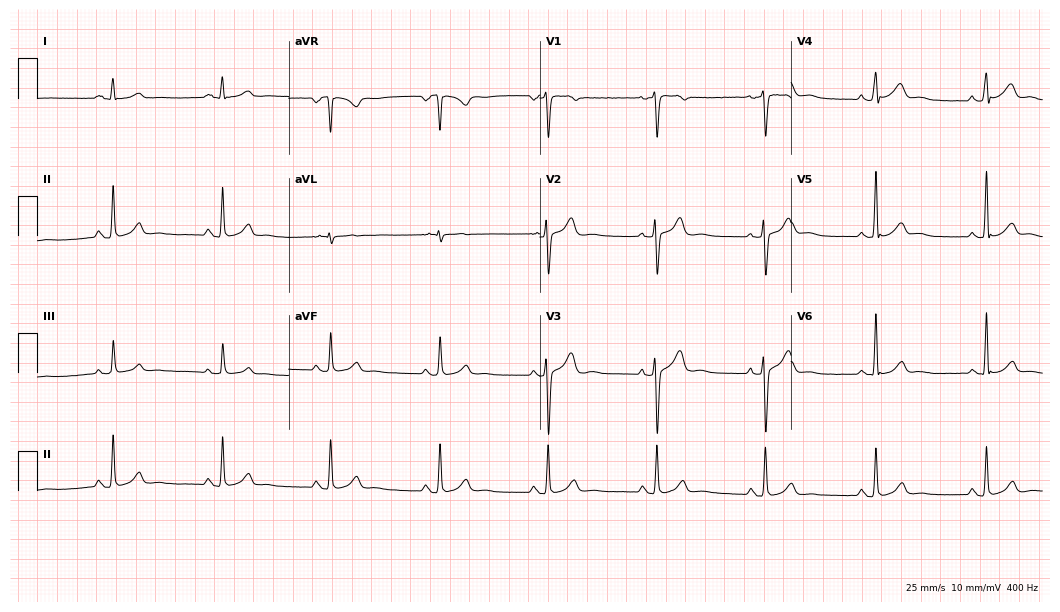
Resting 12-lead electrocardiogram (10.2-second recording at 400 Hz). Patient: a 30-year-old female. Read as a normal ECG.